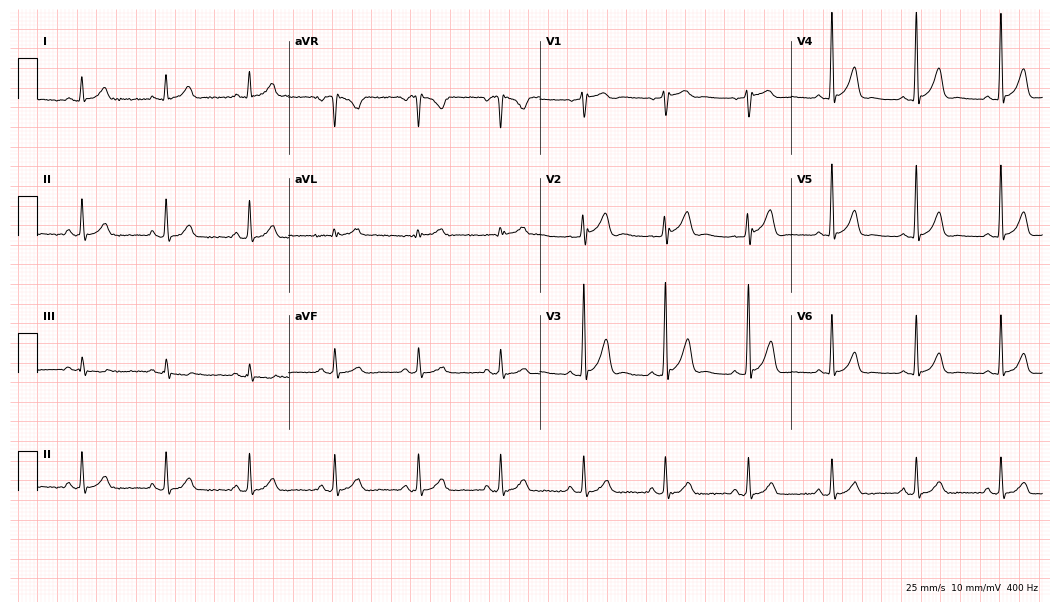
Standard 12-lead ECG recorded from a 48-year-old man (10.2-second recording at 400 Hz). Read as a normal ECG.